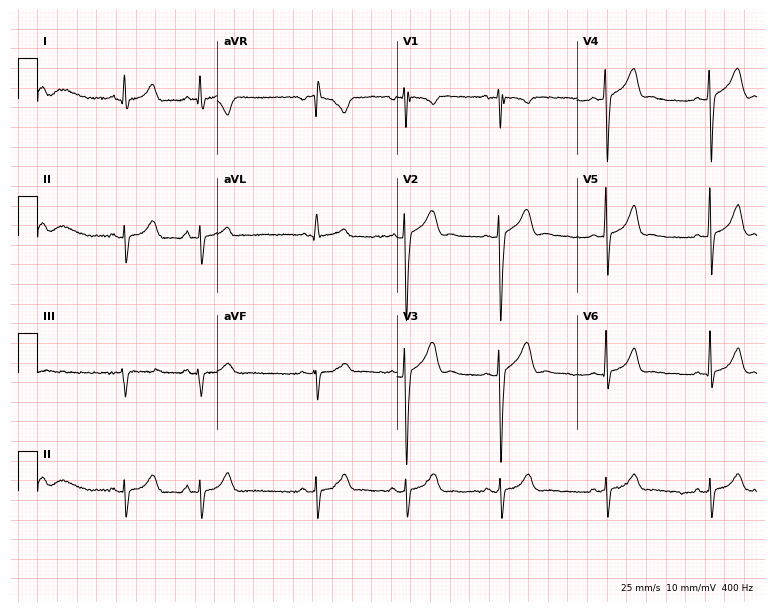
Resting 12-lead electrocardiogram (7.3-second recording at 400 Hz). Patient: an 18-year-old male. None of these six findings is recorded: first-degree AV block, right bundle branch block (RBBB), left bundle branch block (LBBB), sinus bradycardia, atrial fibrillation (AF), sinus tachycardia.